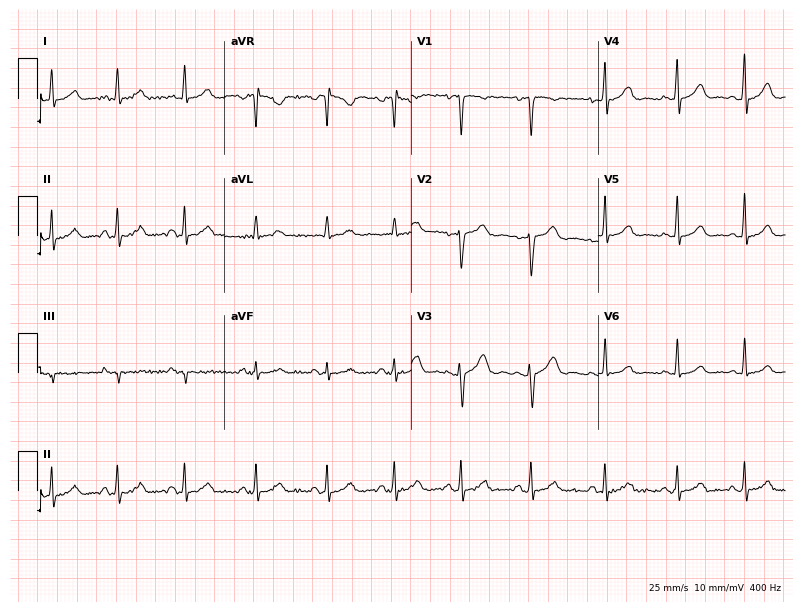
Electrocardiogram (7.6-second recording at 400 Hz), a female, 27 years old. Of the six screened findings (first-degree AV block, right bundle branch block, left bundle branch block, sinus bradycardia, atrial fibrillation, sinus tachycardia), none is recorded. Other findings, if any, are not listed.